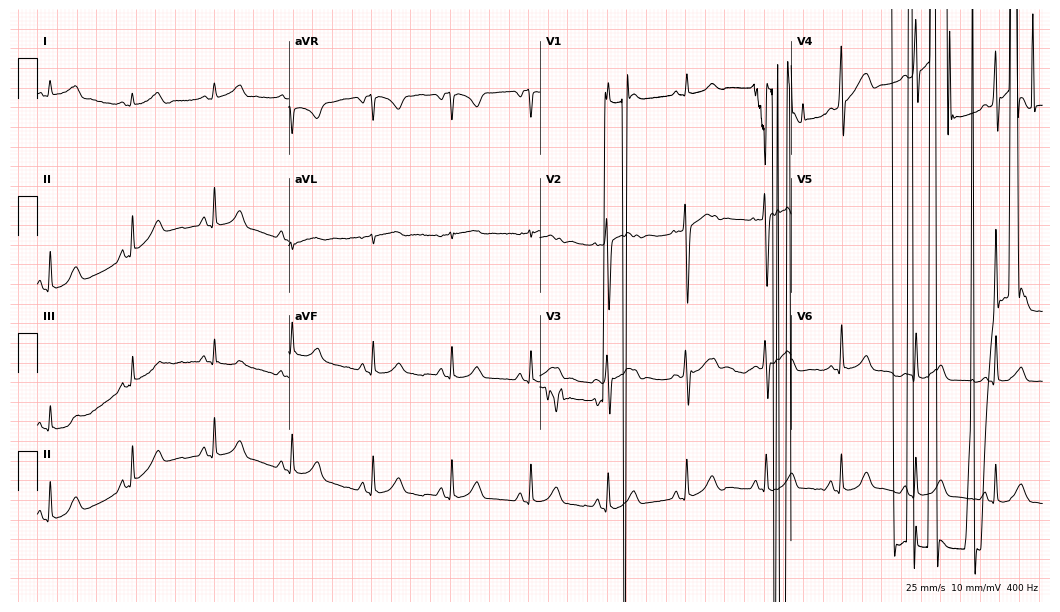
12-lead ECG from a 23-year-old man. No first-degree AV block, right bundle branch block, left bundle branch block, sinus bradycardia, atrial fibrillation or sinus tachycardia recorded for this tracing. Only these six findings were labelled.